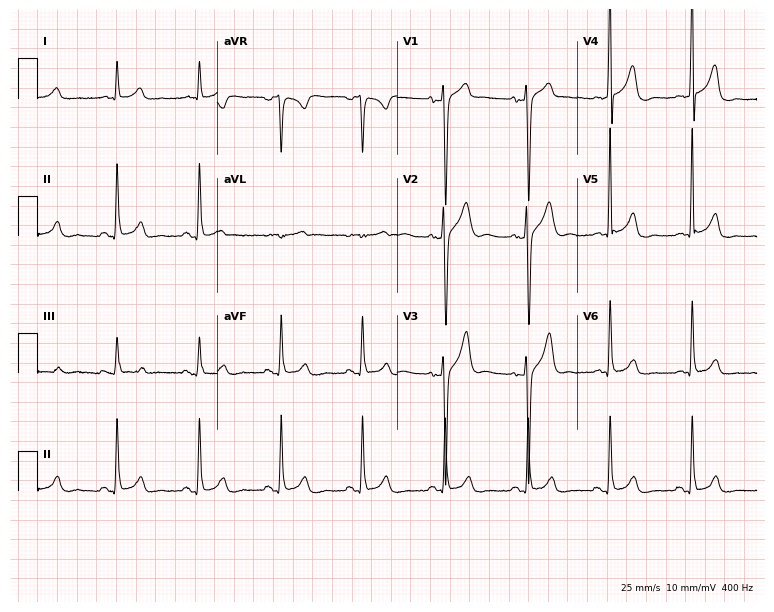
Standard 12-lead ECG recorded from a 46-year-old man. None of these six findings is recorded: first-degree AV block, right bundle branch block, left bundle branch block, sinus bradycardia, atrial fibrillation, sinus tachycardia.